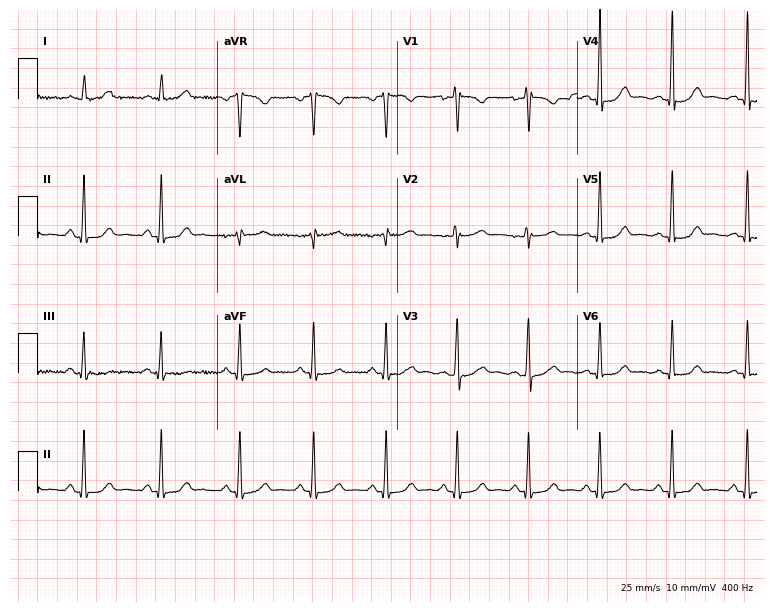
12-lead ECG (7.3-second recording at 400 Hz) from a female, 22 years old. Labelled as a normal ECG.